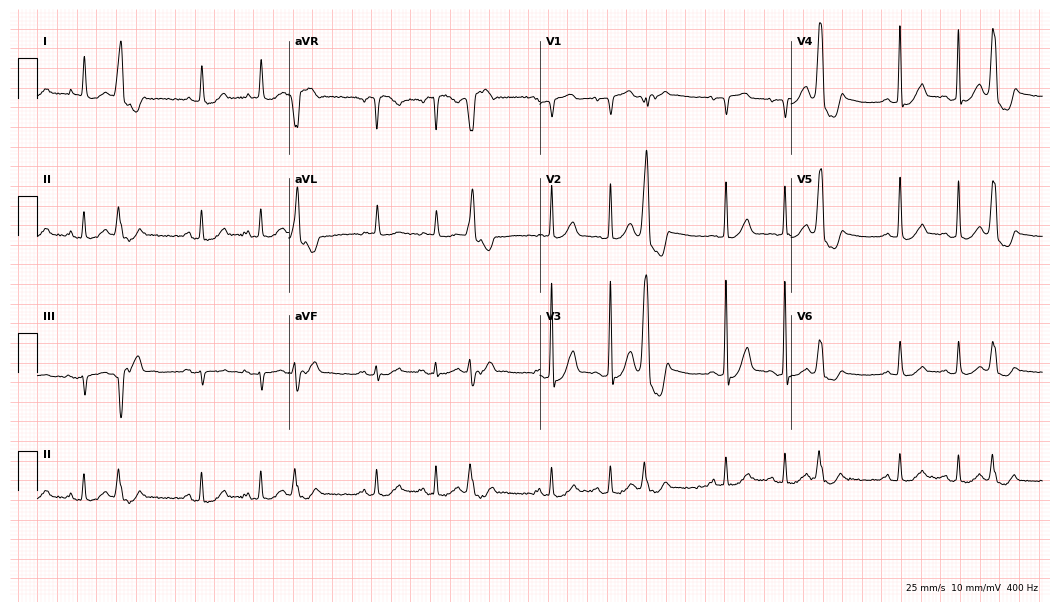
12-lead ECG from an 82-year-old woman. Screened for six findings — first-degree AV block, right bundle branch block, left bundle branch block, sinus bradycardia, atrial fibrillation, sinus tachycardia — none is recorded.